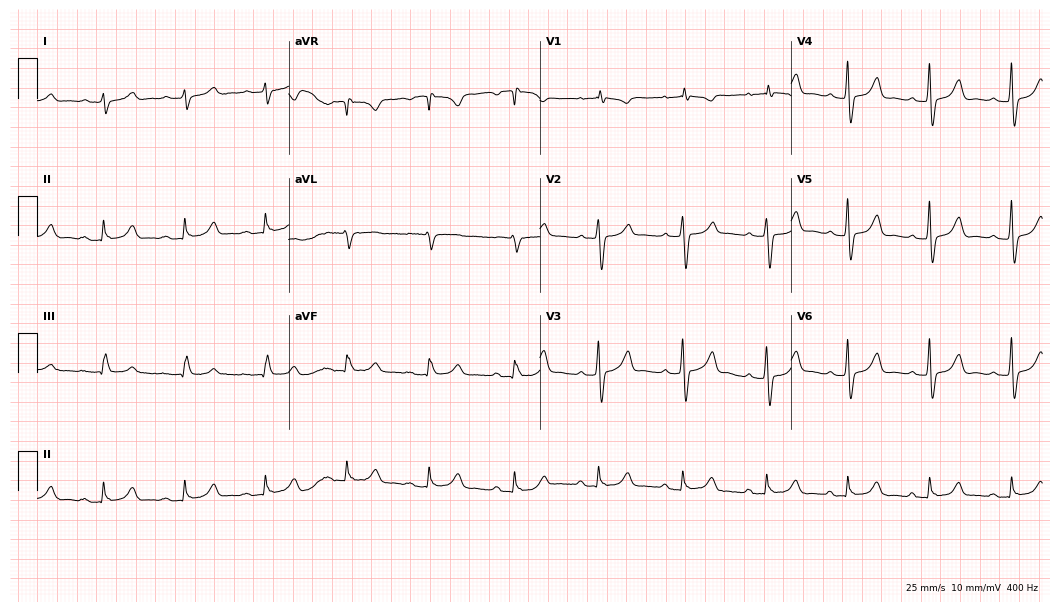
12-lead ECG from a male patient, 80 years old. Labelled as a normal ECG.